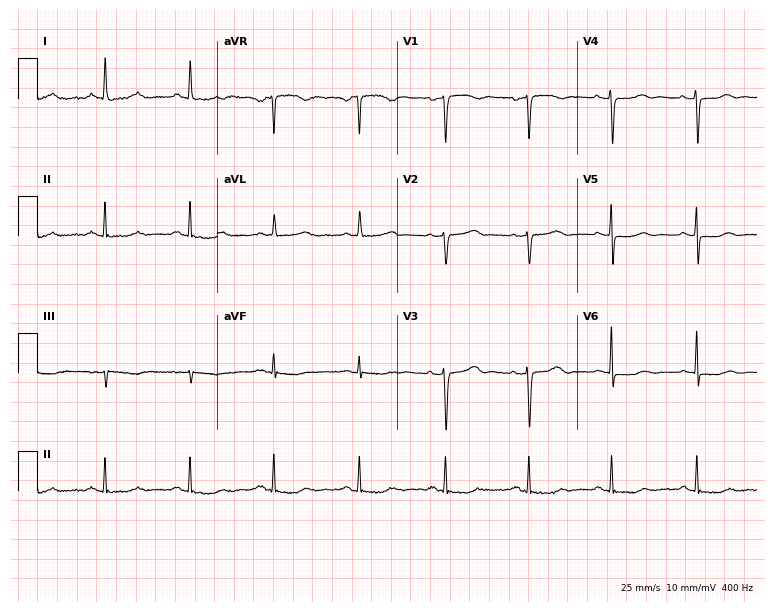
12-lead ECG from a male patient, 48 years old (7.3-second recording at 400 Hz). No first-degree AV block, right bundle branch block, left bundle branch block, sinus bradycardia, atrial fibrillation or sinus tachycardia recorded for this tracing.